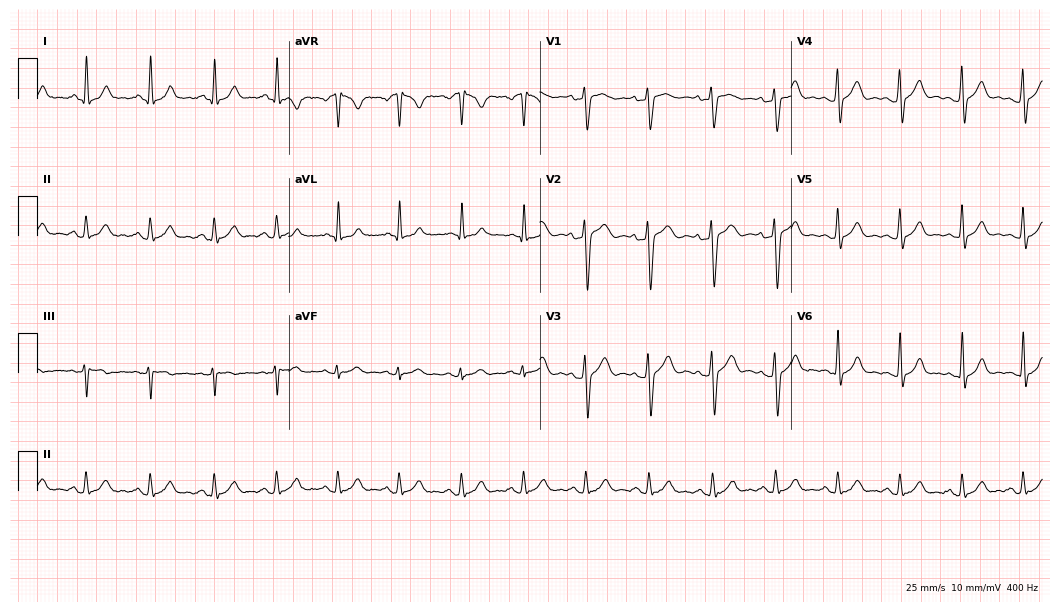
12-lead ECG from a 32-year-old male. Labelled as a normal ECG.